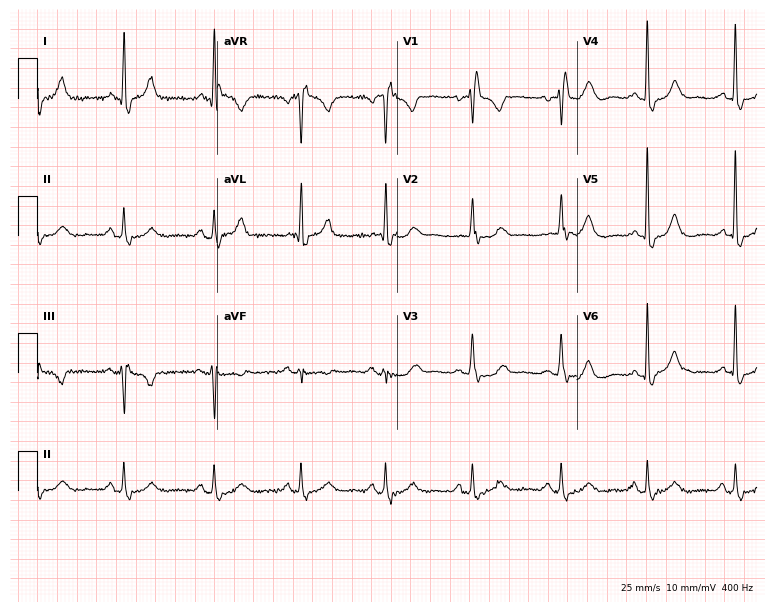
12-lead ECG from a woman, 76 years old. Shows right bundle branch block.